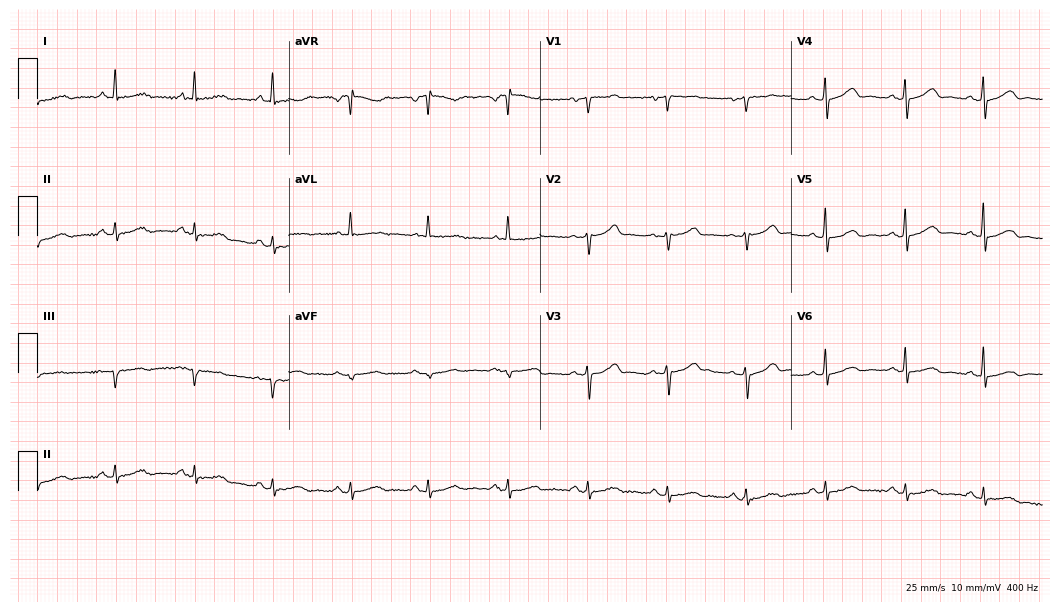
12-lead ECG (10.2-second recording at 400 Hz) from a female patient, 60 years old. Labelled as a normal ECG.